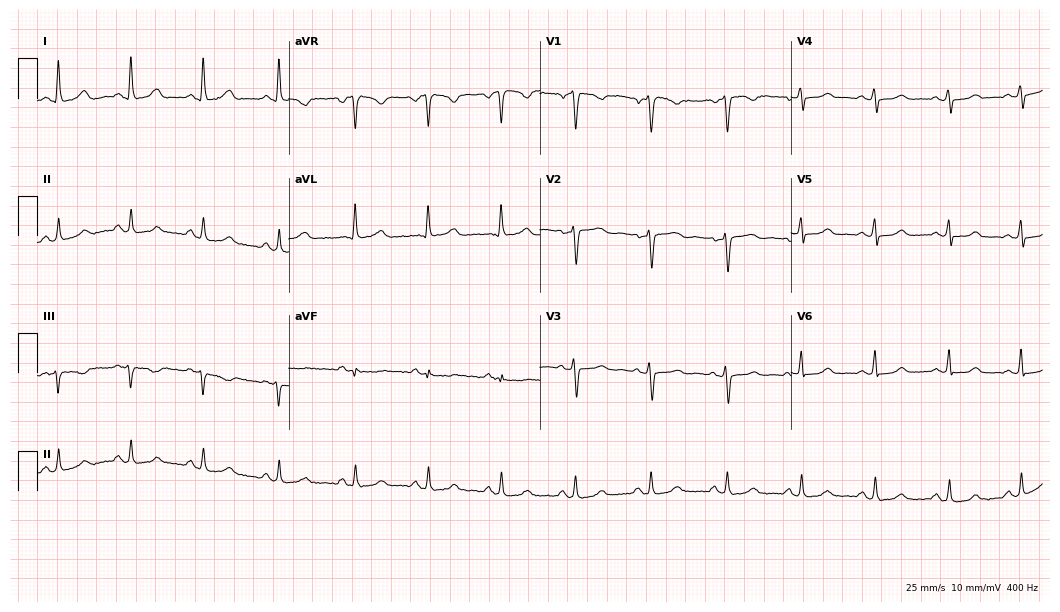
12-lead ECG (10.2-second recording at 400 Hz) from a 49-year-old woman. Screened for six findings — first-degree AV block, right bundle branch block, left bundle branch block, sinus bradycardia, atrial fibrillation, sinus tachycardia — none is recorded. Only these six findings were labelled.